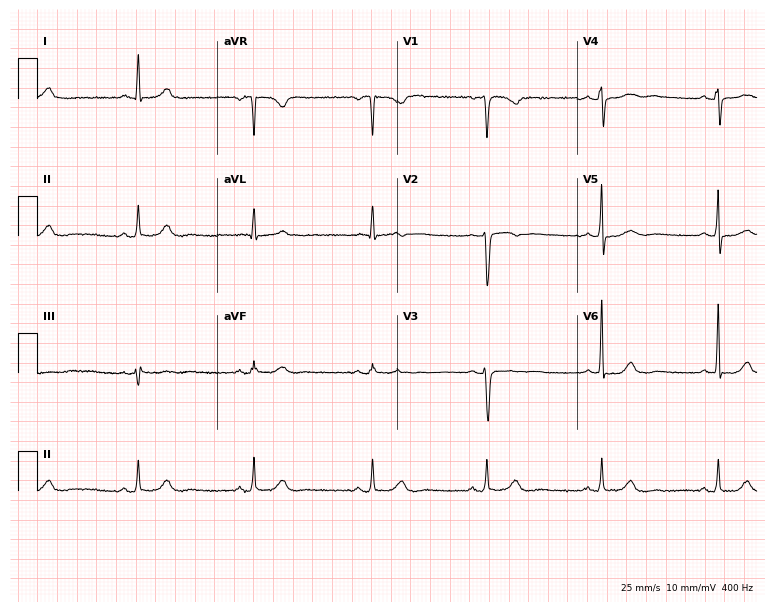
Resting 12-lead electrocardiogram. Patient: a 47-year-old female. Read as a normal ECG.